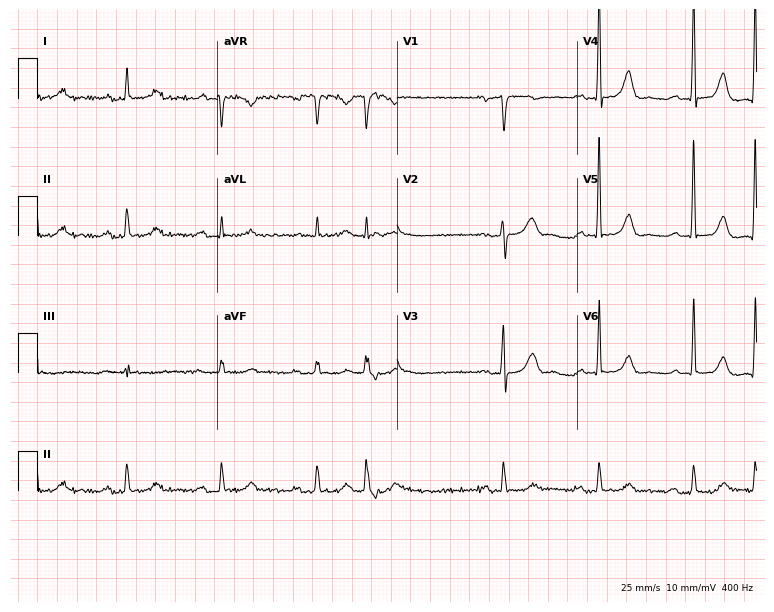
12-lead ECG from a 79-year-old man. No first-degree AV block, right bundle branch block (RBBB), left bundle branch block (LBBB), sinus bradycardia, atrial fibrillation (AF) or sinus tachycardia recorded for this tracing.